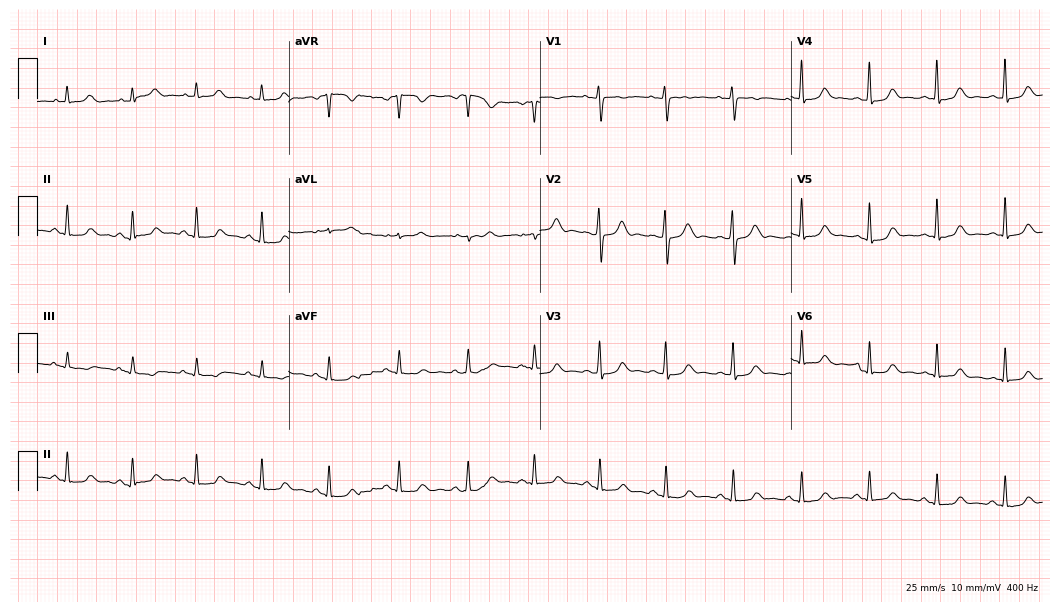
ECG — a female, 45 years old. Screened for six findings — first-degree AV block, right bundle branch block (RBBB), left bundle branch block (LBBB), sinus bradycardia, atrial fibrillation (AF), sinus tachycardia — none is recorded. Findings outside these six are not listed.